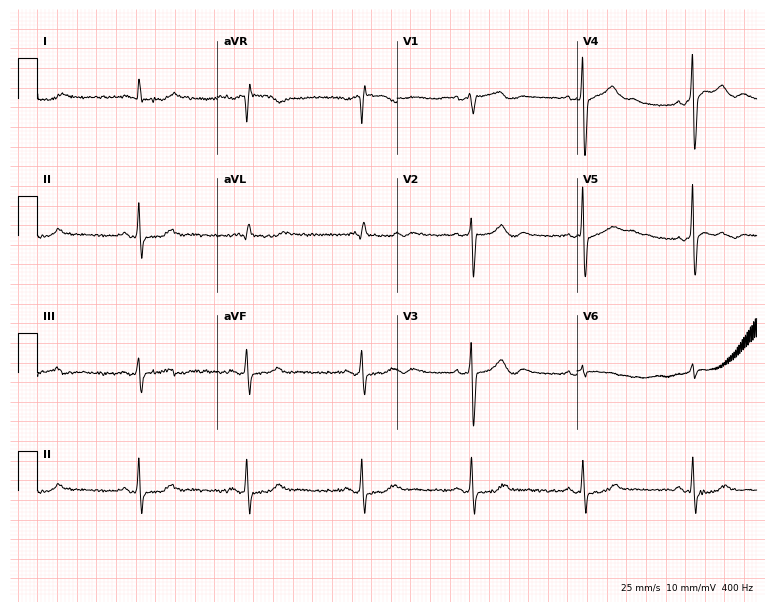
12-lead ECG (7.3-second recording at 400 Hz) from a female, 64 years old. Screened for six findings — first-degree AV block, right bundle branch block, left bundle branch block, sinus bradycardia, atrial fibrillation, sinus tachycardia — none is recorded. Other findings, if any, are not listed.